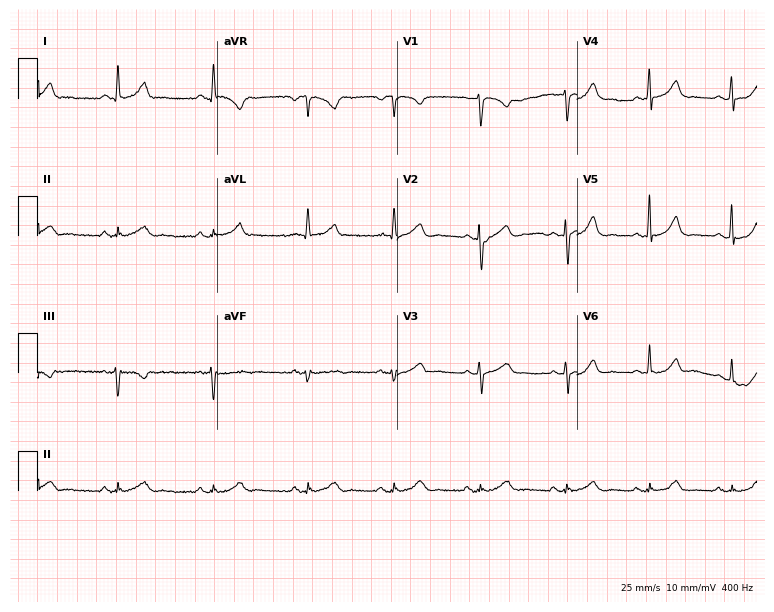
12-lead ECG (7.3-second recording at 400 Hz) from a 44-year-old female patient. Labelled as a normal ECG.